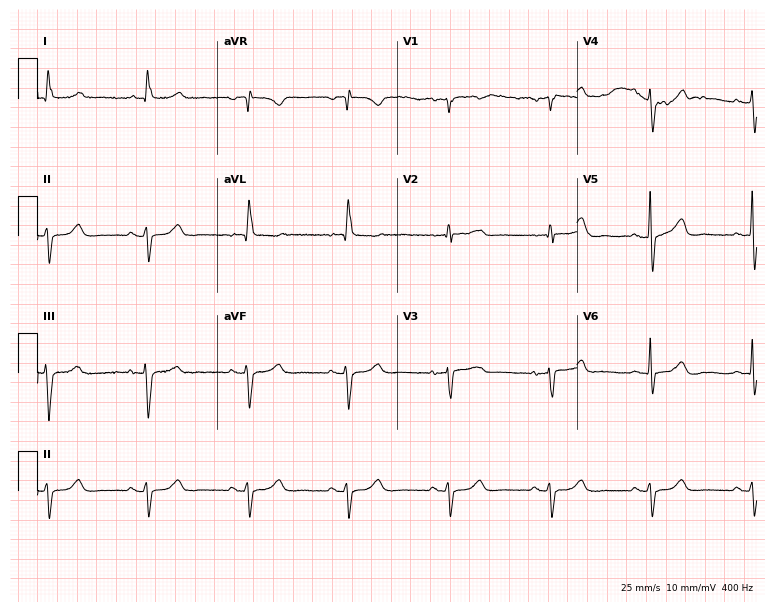
Standard 12-lead ECG recorded from a female patient, 75 years old (7.3-second recording at 400 Hz). None of these six findings is recorded: first-degree AV block, right bundle branch block, left bundle branch block, sinus bradycardia, atrial fibrillation, sinus tachycardia. Other findings, if any, are not listed.